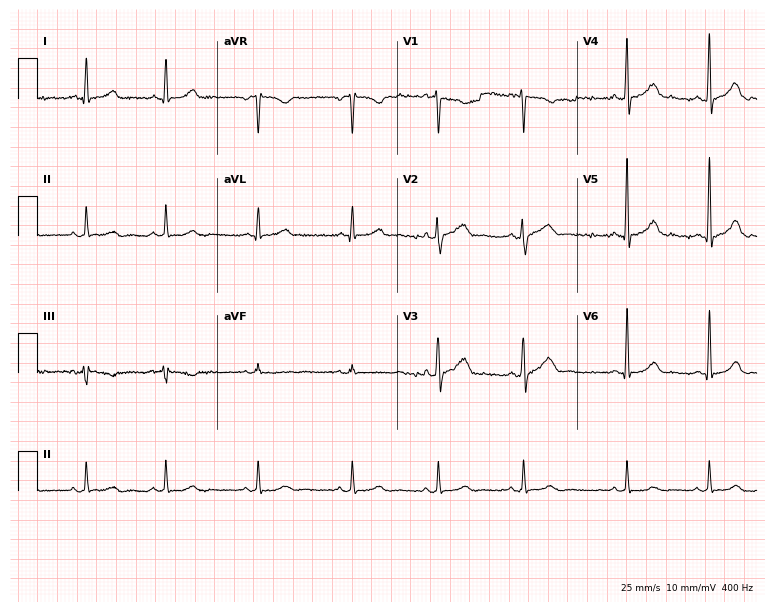
12-lead ECG (7.3-second recording at 400 Hz) from a woman, 30 years old. Labelled as a normal ECG.